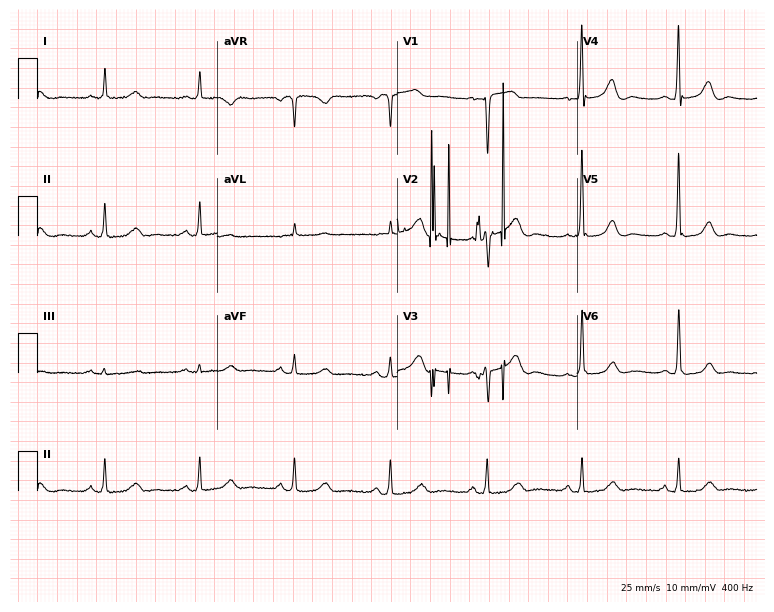
12-lead ECG from an 80-year-old female patient (7.3-second recording at 400 Hz). Recorded interpretation: within normal limits.